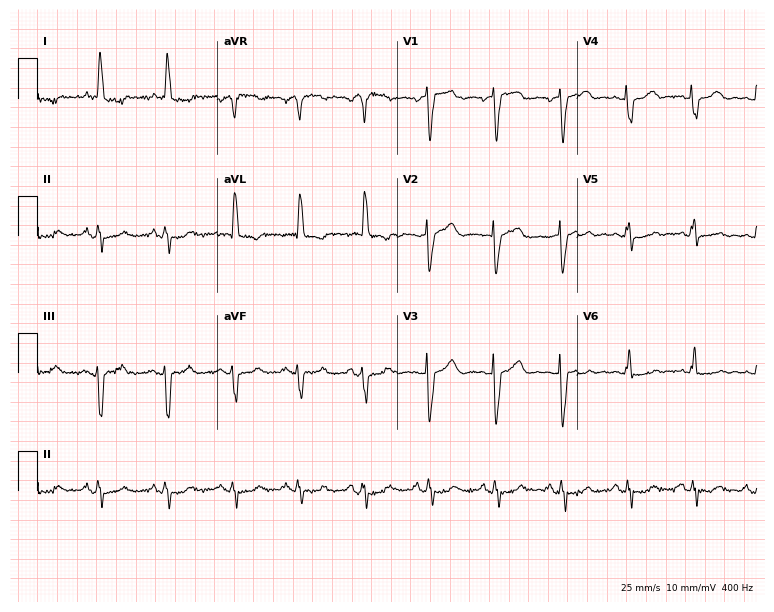
ECG (7.3-second recording at 400 Hz) — a female patient, 84 years old. Screened for six findings — first-degree AV block, right bundle branch block, left bundle branch block, sinus bradycardia, atrial fibrillation, sinus tachycardia — none is recorded. Only these six findings were labelled.